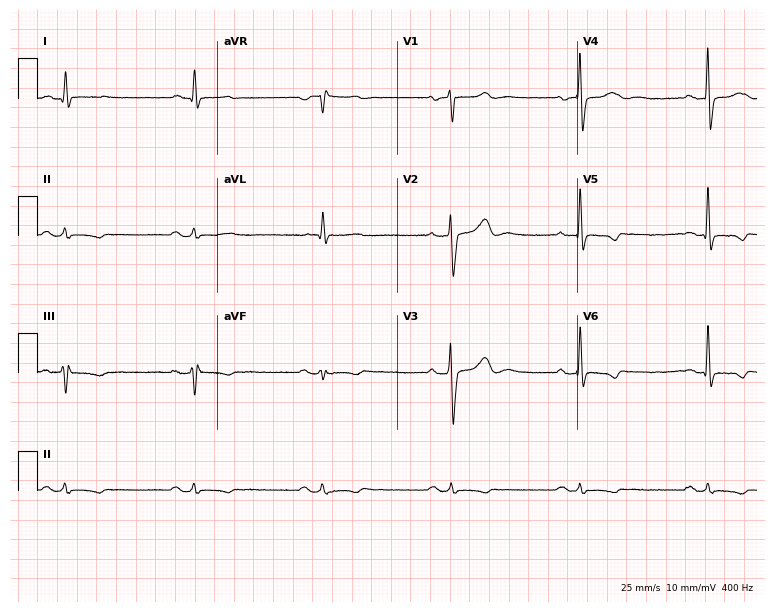
ECG (7.3-second recording at 400 Hz) — a 72-year-old male. Findings include sinus bradycardia (a sinus rate of 50 beats per minute or less).